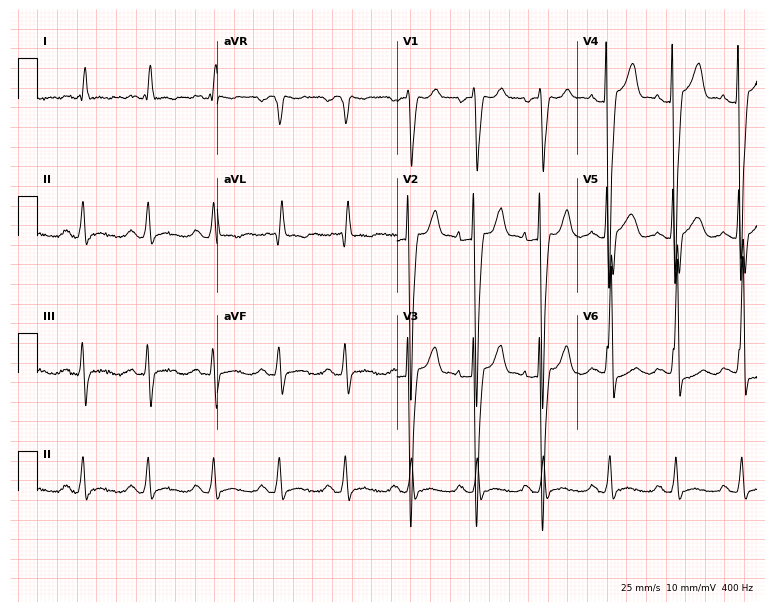
Electrocardiogram (7.3-second recording at 400 Hz), a female patient, 64 years old. Interpretation includes left bundle branch block.